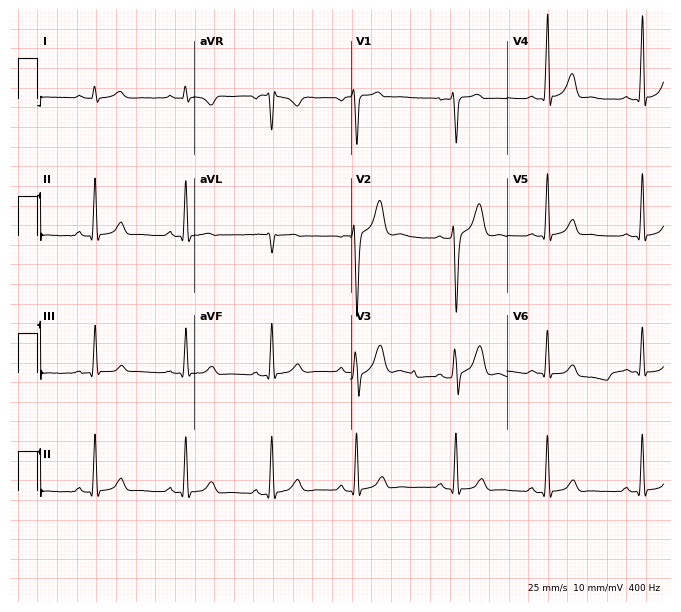
Electrocardiogram, a male, 20 years old. Overall reading on record: normal ECG.